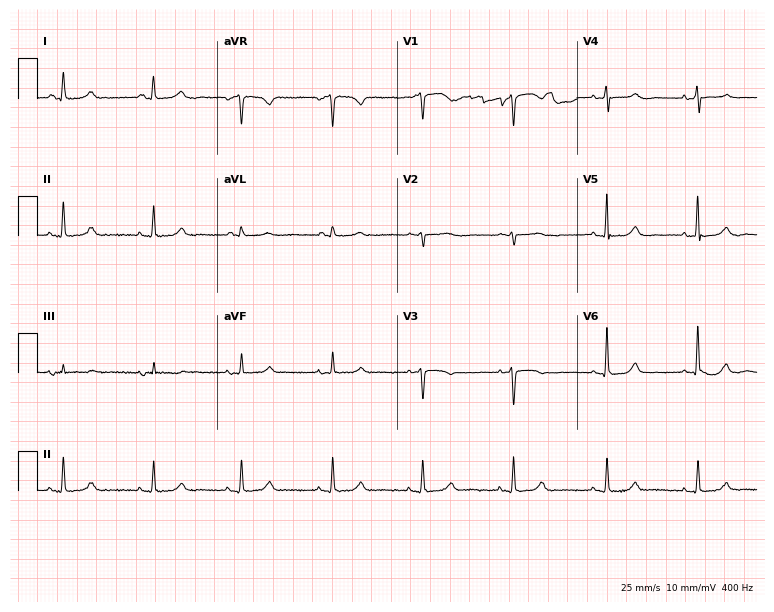
12-lead ECG from a 69-year-old female patient. Labelled as a normal ECG.